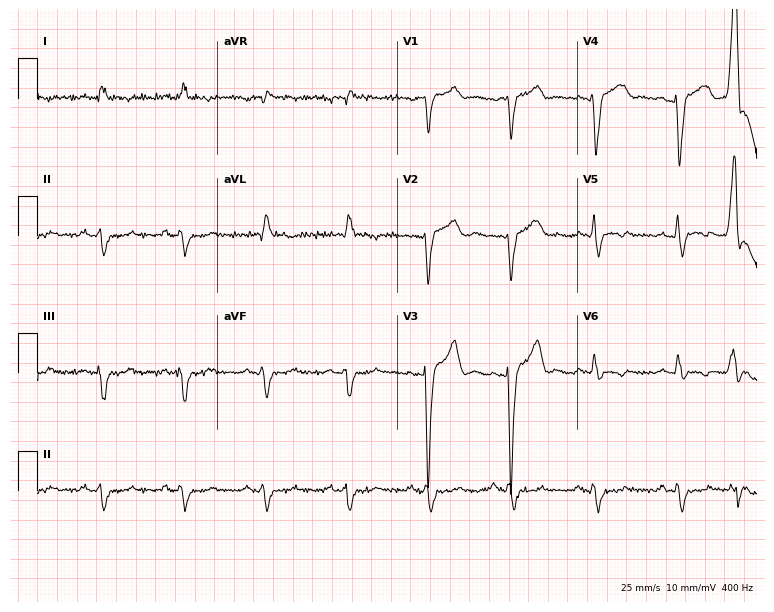
Standard 12-lead ECG recorded from a male patient, 62 years old. None of these six findings is recorded: first-degree AV block, right bundle branch block, left bundle branch block, sinus bradycardia, atrial fibrillation, sinus tachycardia. Only these six findings were labelled.